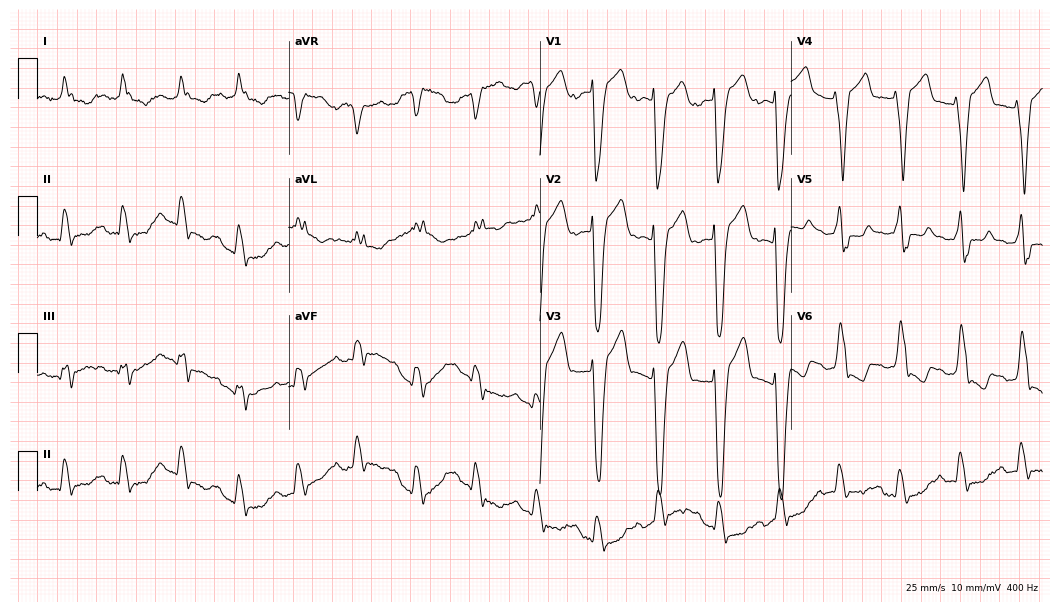
Resting 12-lead electrocardiogram (10.2-second recording at 400 Hz). Patient: a male, 74 years old. None of these six findings is recorded: first-degree AV block, right bundle branch block, left bundle branch block, sinus bradycardia, atrial fibrillation, sinus tachycardia.